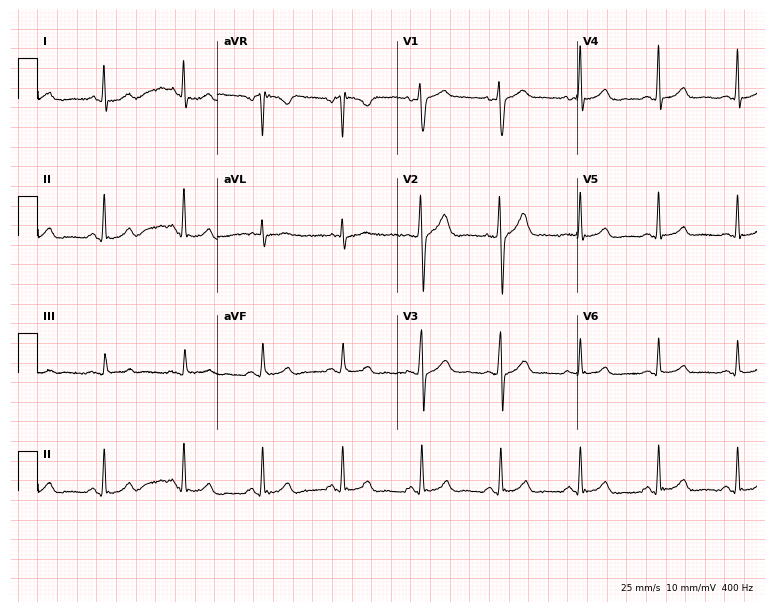
Electrocardiogram (7.3-second recording at 400 Hz), a 49-year-old male patient. Overall reading on record: normal ECG.